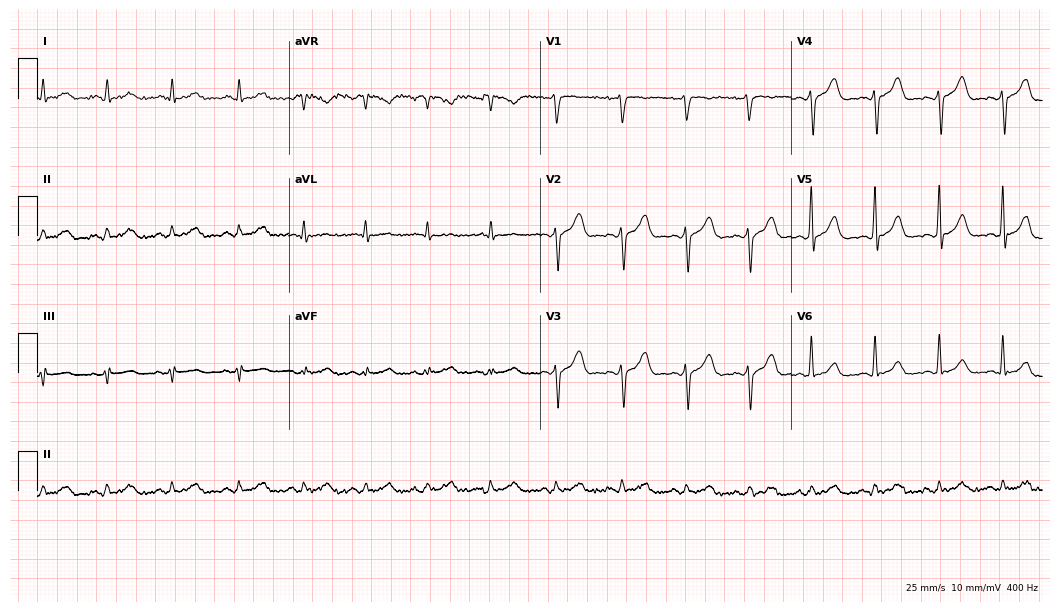
12-lead ECG (10.2-second recording at 400 Hz) from a female, 31 years old. Screened for six findings — first-degree AV block, right bundle branch block, left bundle branch block, sinus bradycardia, atrial fibrillation, sinus tachycardia — none is recorded. Only these six findings were labelled.